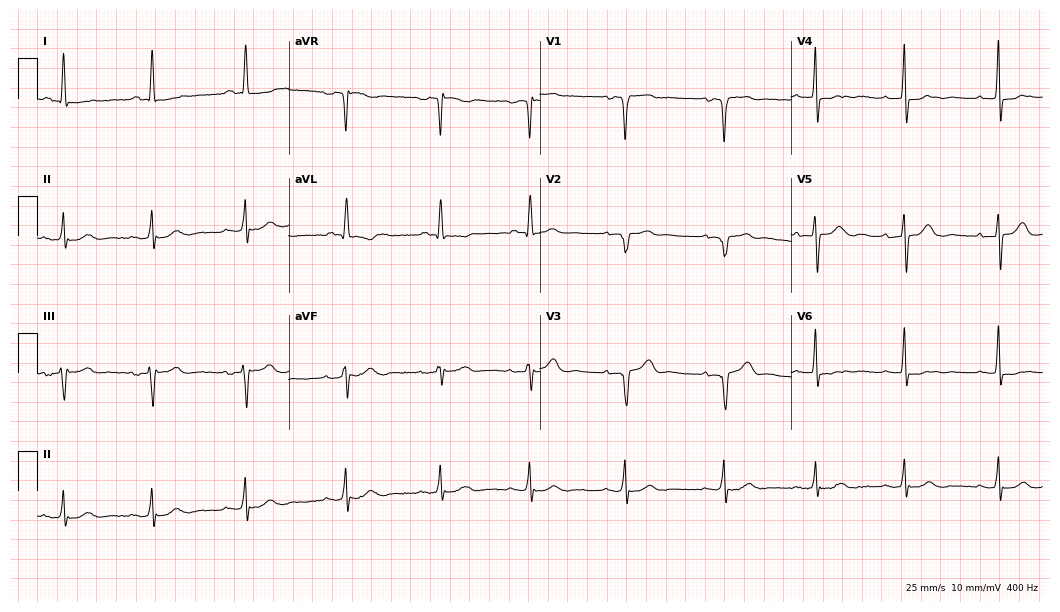
12-lead ECG from a 60-year-old female (10.2-second recording at 400 Hz). No first-degree AV block, right bundle branch block, left bundle branch block, sinus bradycardia, atrial fibrillation or sinus tachycardia recorded for this tracing. Only these six findings were labelled.